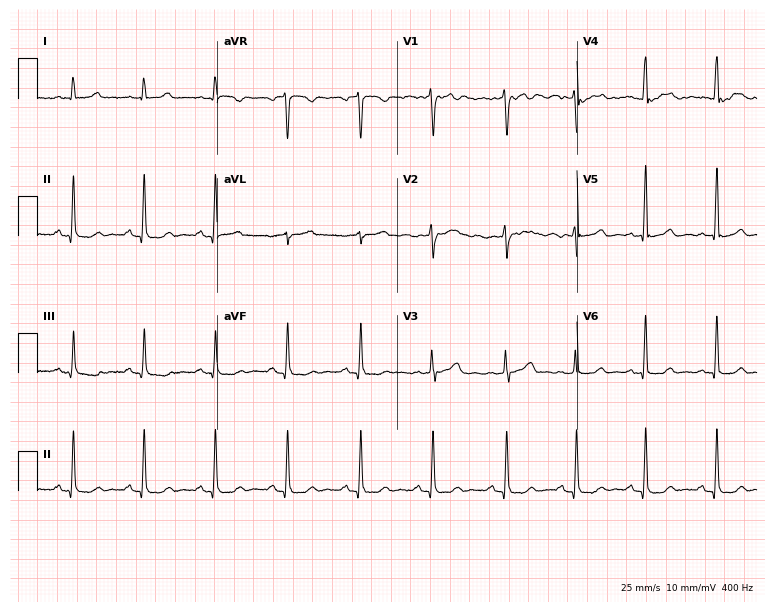
Resting 12-lead electrocardiogram. Patient: a female, 36 years old. Read as a normal ECG.